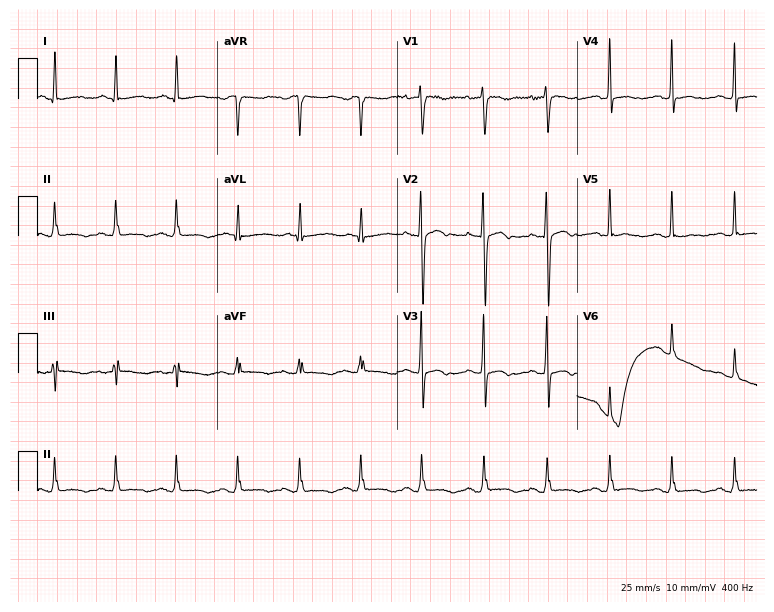
Resting 12-lead electrocardiogram. Patient: a 30-year-old woman. Read as a normal ECG.